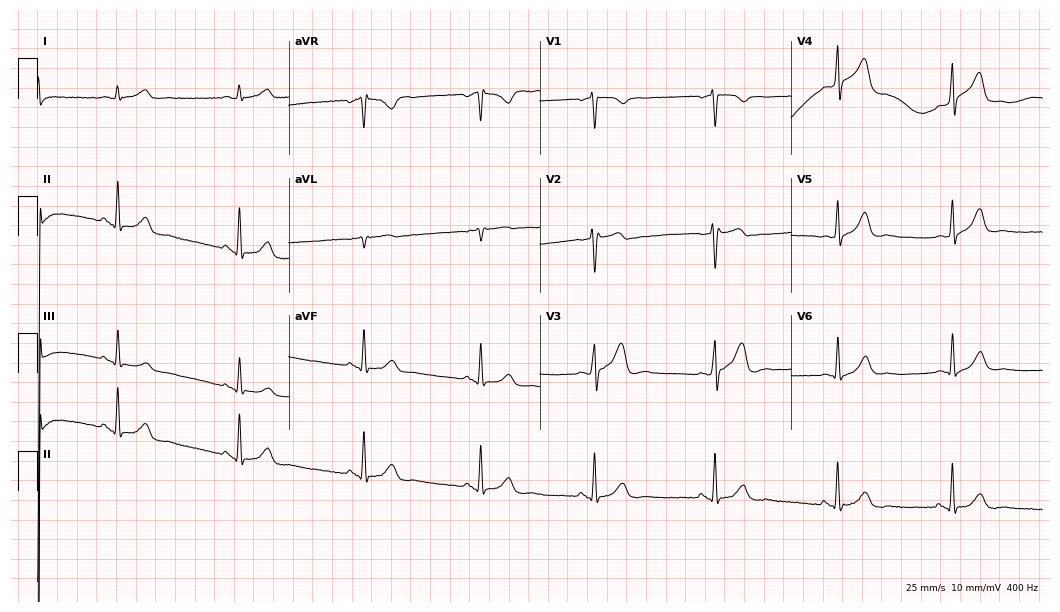
12-lead ECG from a 42-year-old man. Recorded interpretation: within normal limits.